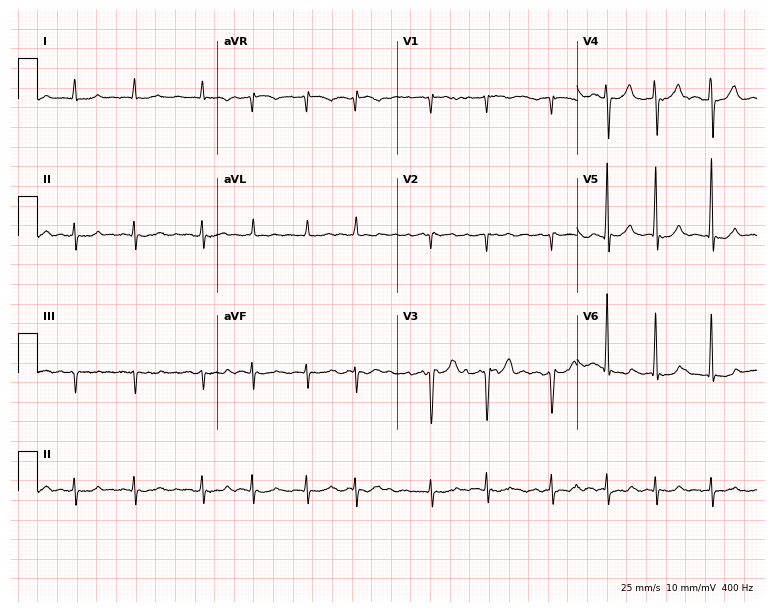
Resting 12-lead electrocardiogram. Patient: a male, 83 years old. The tracing shows atrial fibrillation.